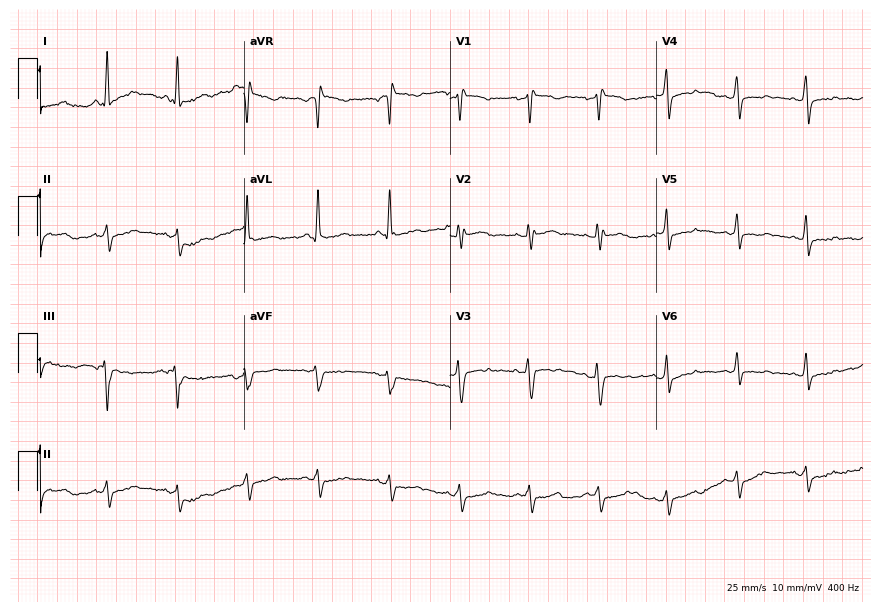
12-lead ECG from a 46-year-old female. No first-degree AV block, right bundle branch block, left bundle branch block, sinus bradycardia, atrial fibrillation or sinus tachycardia recorded for this tracing. Other findings, if any, are not listed.